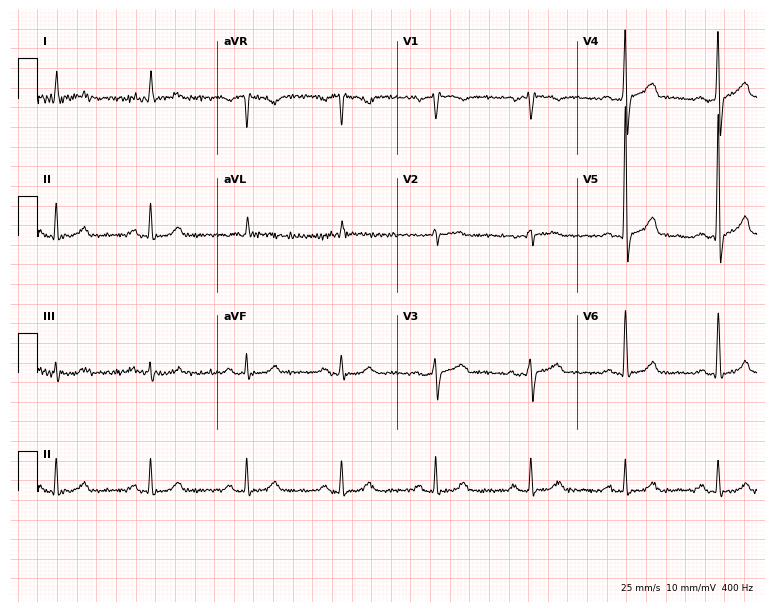
ECG — a 61-year-old male. Labelled as a normal ECG.